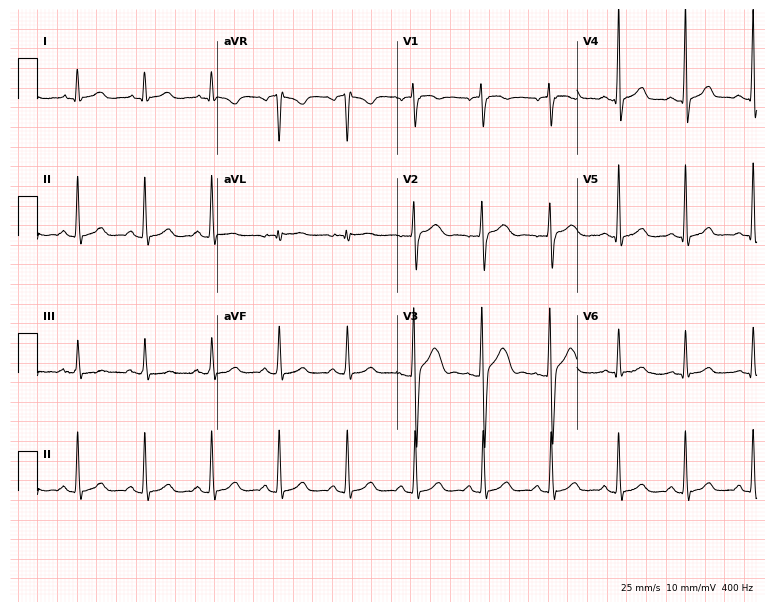
ECG (7.3-second recording at 400 Hz) — a man, 18 years old. Labelled as a normal ECG.